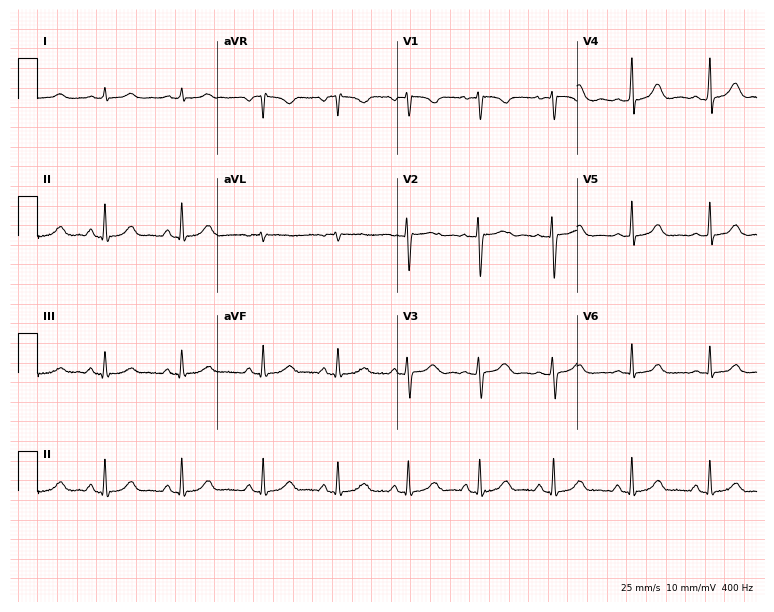
Standard 12-lead ECG recorded from a 32-year-old woman (7.3-second recording at 400 Hz). Read as a normal ECG.